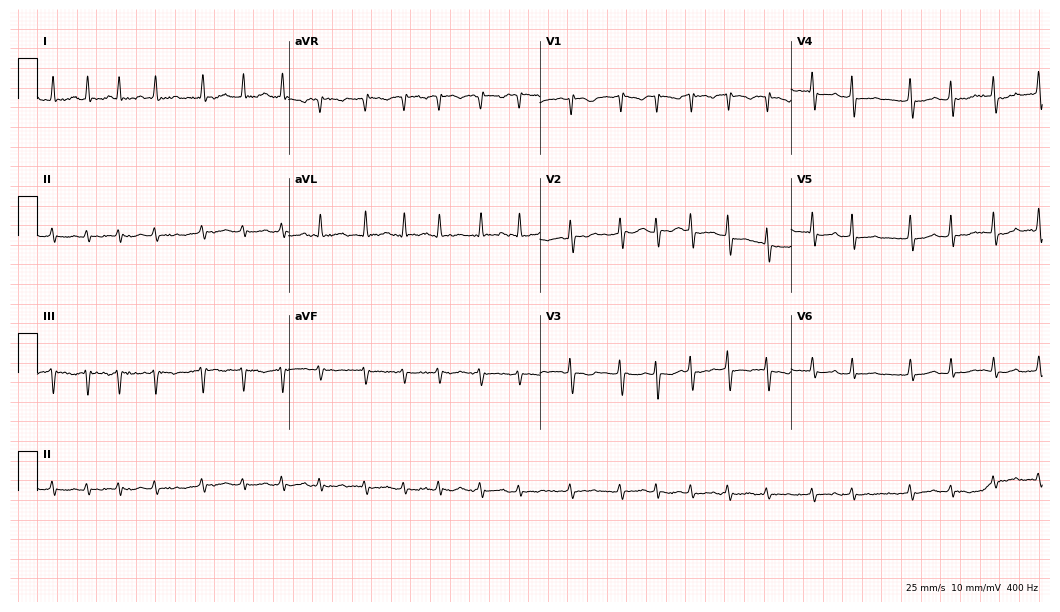
Resting 12-lead electrocardiogram (10.2-second recording at 400 Hz). Patient: a female, 78 years old. The tracing shows atrial fibrillation (AF), sinus tachycardia (a sinus rate of 100 beats per minute or more).